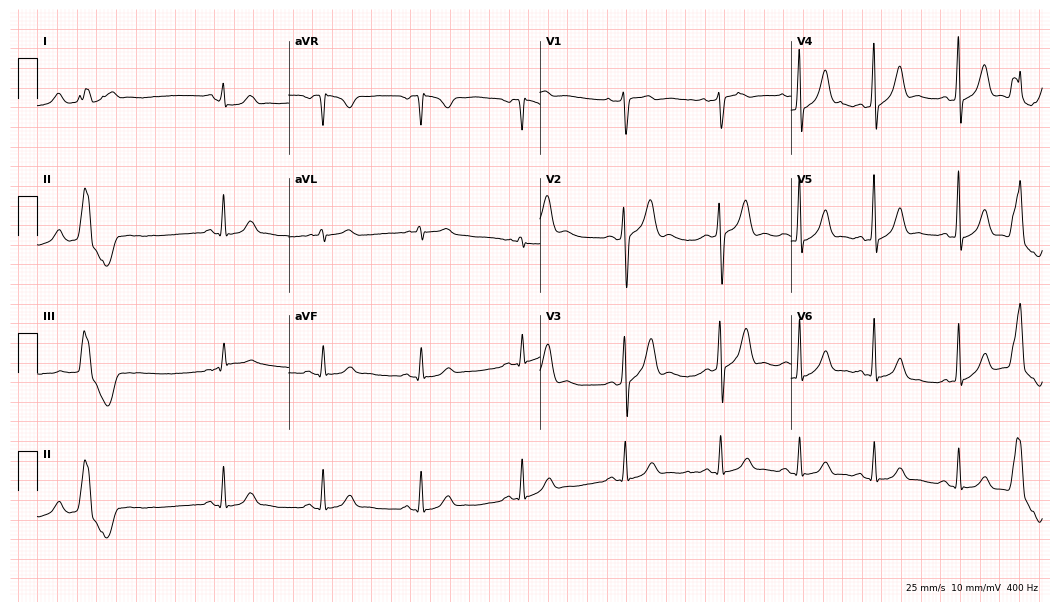
Standard 12-lead ECG recorded from a man, 32 years old (10.2-second recording at 400 Hz). None of these six findings is recorded: first-degree AV block, right bundle branch block, left bundle branch block, sinus bradycardia, atrial fibrillation, sinus tachycardia.